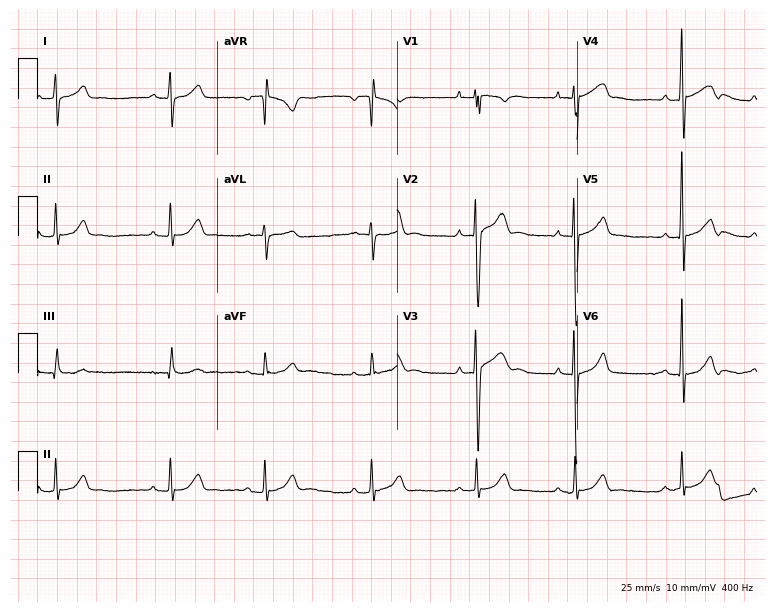
12-lead ECG from a 17-year-old male. Labelled as a normal ECG.